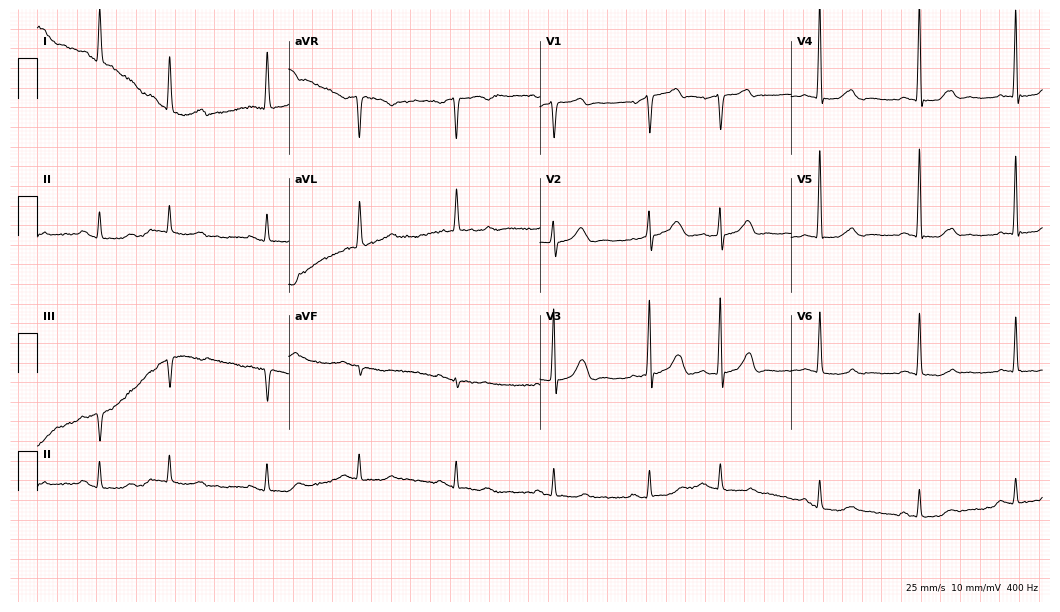
12-lead ECG from a man, 73 years old (10.2-second recording at 400 Hz). No first-degree AV block, right bundle branch block, left bundle branch block, sinus bradycardia, atrial fibrillation or sinus tachycardia recorded for this tracing. Only these six findings were labelled.